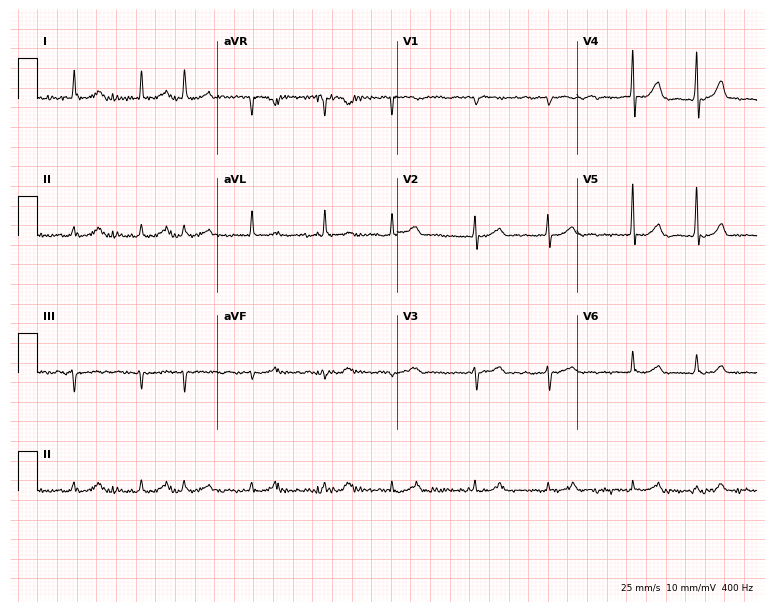
Standard 12-lead ECG recorded from a 79-year-old female patient (7.3-second recording at 400 Hz). The tracing shows atrial fibrillation.